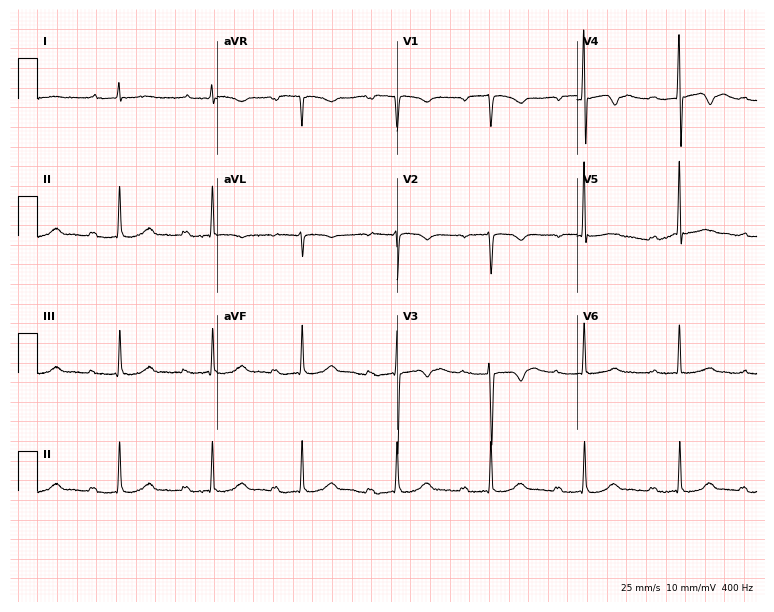
Resting 12-lead electrocardiogram. Patient: a 68-year-old female. The tracing shows first-degree AV block.